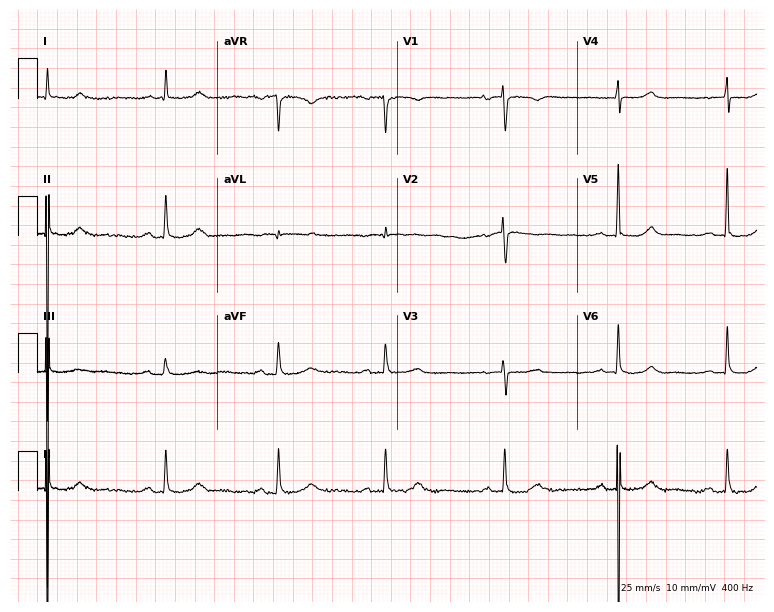
ECG (7.3-second recording at 400 Hz) — an 80-year-old female. Screened for six findings — first-degree AV block, right bundle branch block, left bundle branch block, sinus bradycardia, atrial fibrillation, sinus tachycardia — none is recorded.